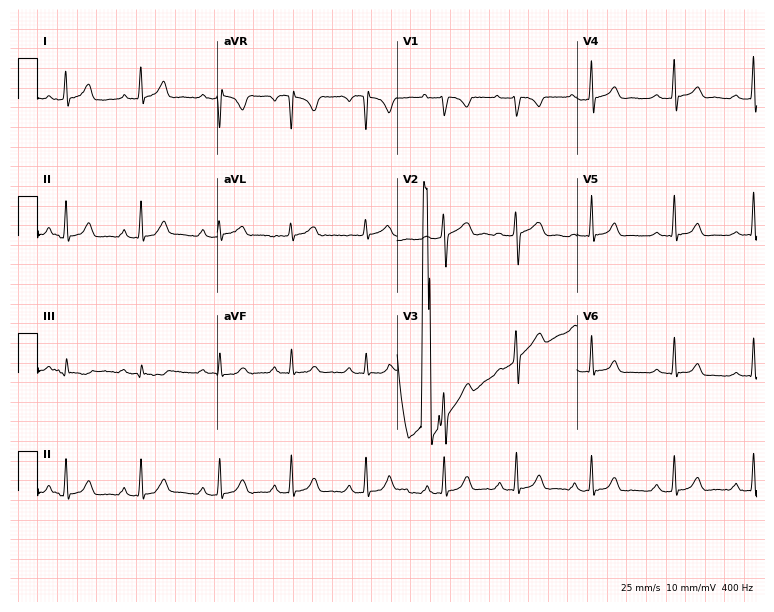
12-lead ECG from a female patient, 32 years old (7.3-second recording at 400 Hz). No first-degree AV block, right bundle branch block (RBBB), left bundle branch block (LBBB), sinus bradycardia, atrial fibrillation (AF) or sinus tachycardia recorded for this tracing. Only these six findings were labelled.